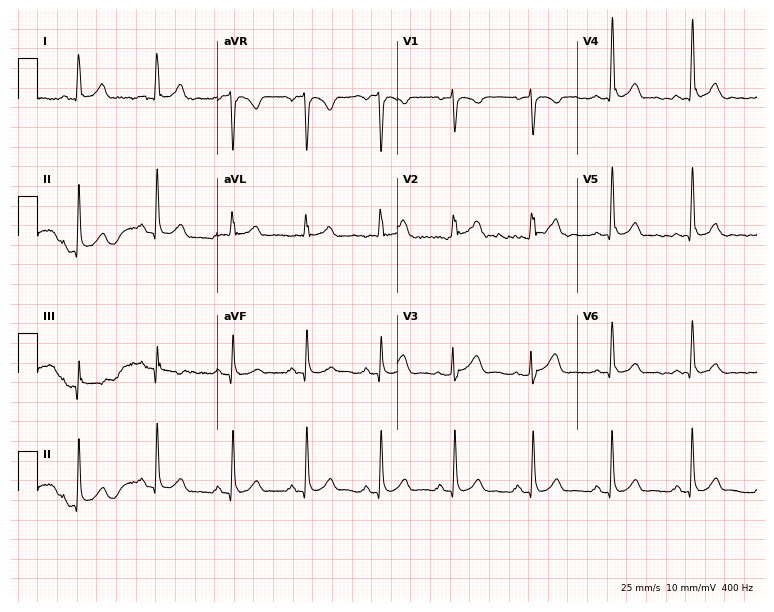
12-lead ECG from a 26-year-old female. Screened for six findings — first-degree AV block, right bundle branch block, left bundle branch block, sinus bradycardia, atrial fibrillation, sinus tachycardia — none is recorded.